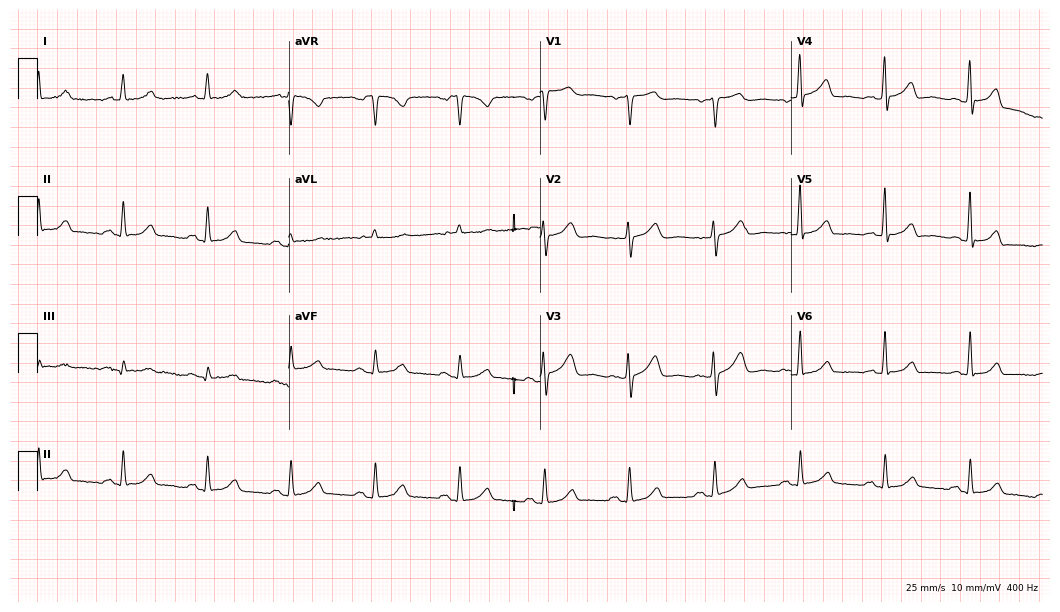
Standard 12-lead ECG recorded from a female patient, 81 years old (10.2-second recording at 400 Hz). Read as a normal ECG.